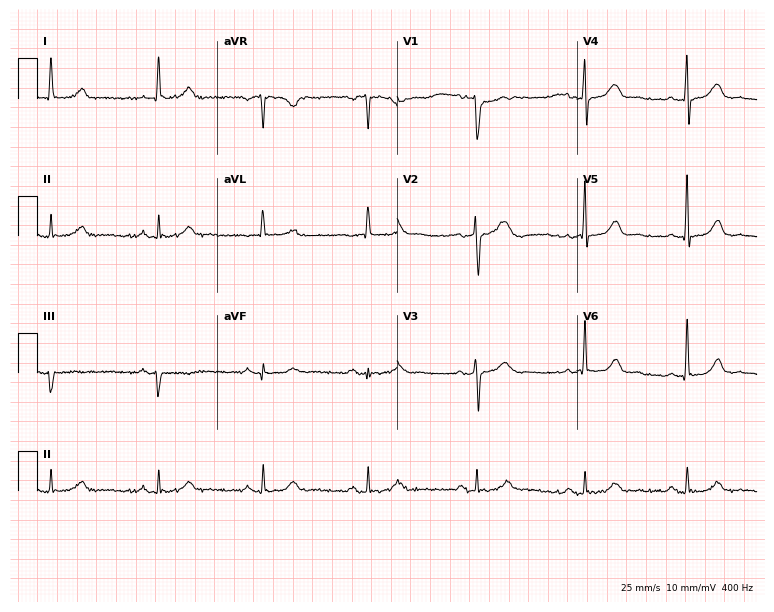
Electrocardiogram (7.3-second recording at 400 Hz), a female, 54 years old. Of the six screened findings (first-degree AV block, right bundle branch block, left bundle branch block, sinus bradycardia, atrial fibrillation, sinus tachycardia), none is recorded. Findings outside these six are not listed.